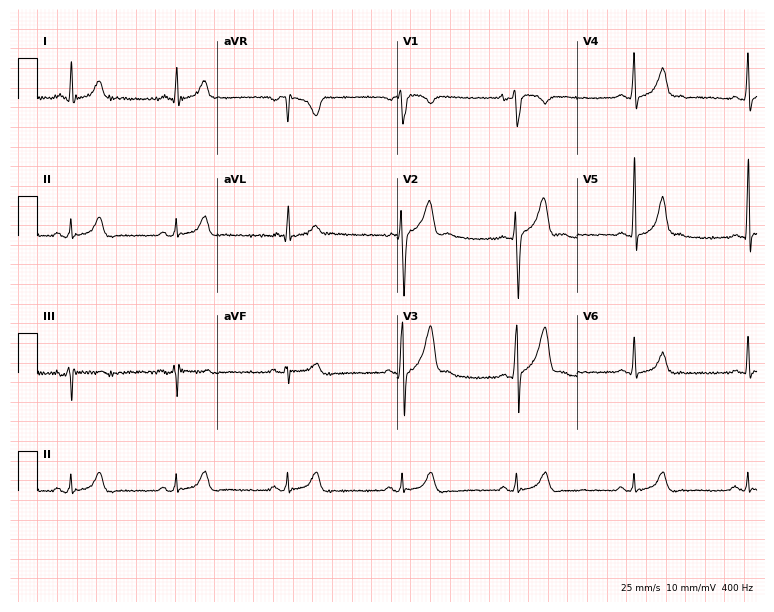
Standard 12-lead ECG recorded from an 18-year-old male. None of these six findings is recorded: first-degree AV block, right bundle branch block (RBBB), left bundle branch block (LBBB), sinus bradycardia, atrial fibrillation (AF), sinus tachycardia.